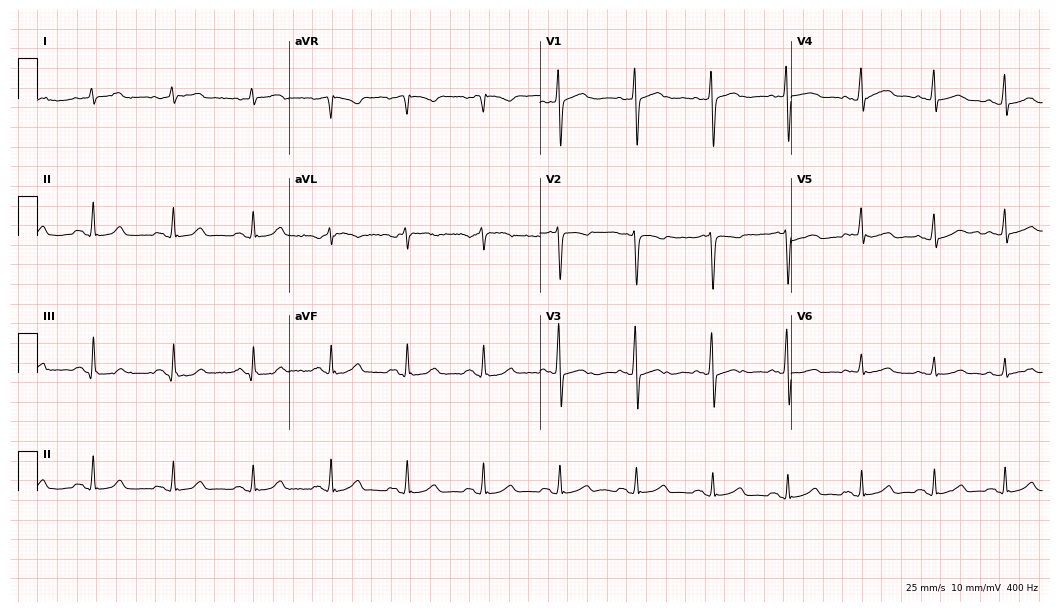
Standard 12-lead ECG recorded from a female patient, 69 years old. None of these six findings is recorded: first-degree AV block, right bundle branch block, left bundle branch block, sinus bradycardia, atrial fibrillation, sinus tachycardia. Findings outside these six are not listed.